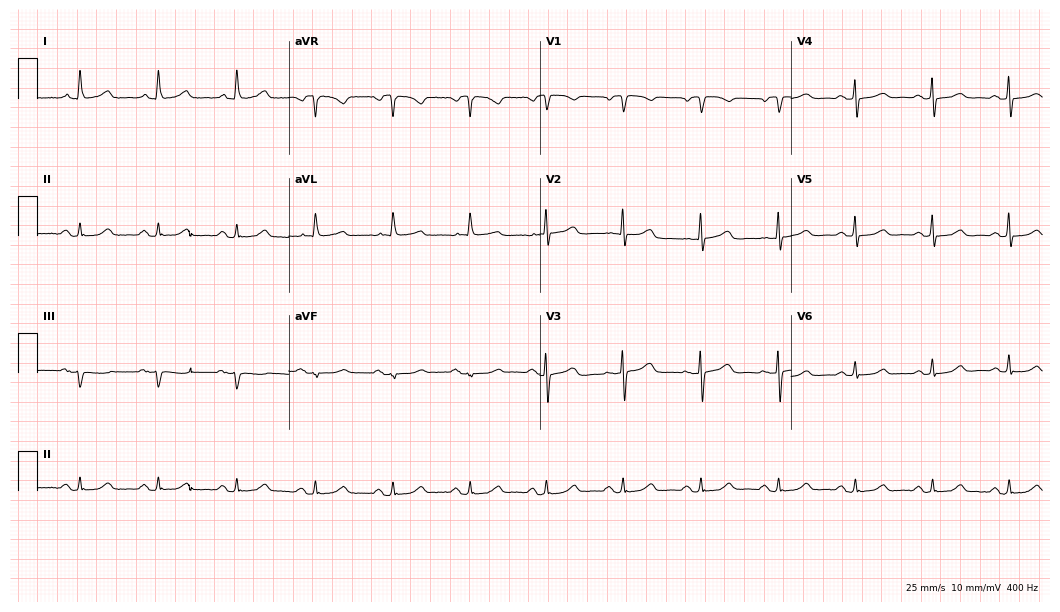
Standard 12-lead ECG recorded from a woman, 79 years old (10.2-second recording at 400 Hz). Read as a normal ECG.